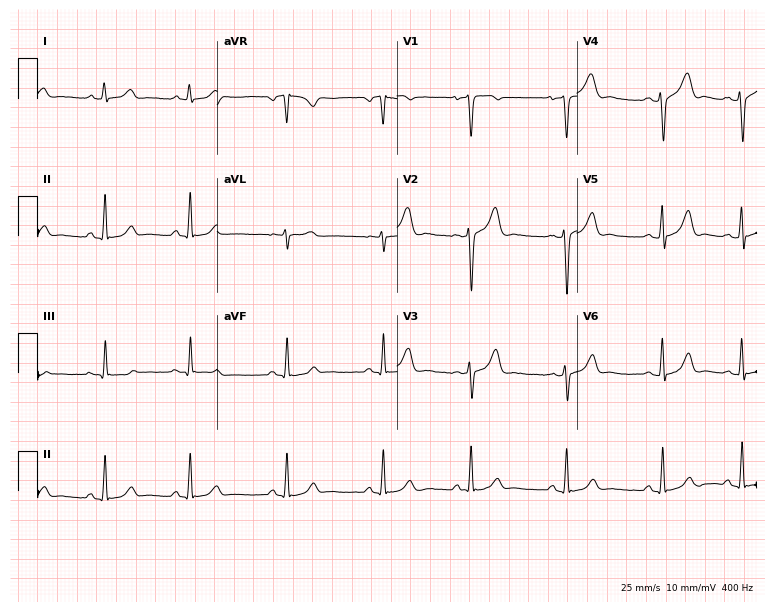
12-lead ECG from a 24-year-old woman (7.3-second recording at 400 Hz). No first-degree AV block, right bundle branch block, left bundle branch block, sinus bradycardia, atrial fibrillation or sinus tachycardia recorded for this tracing.